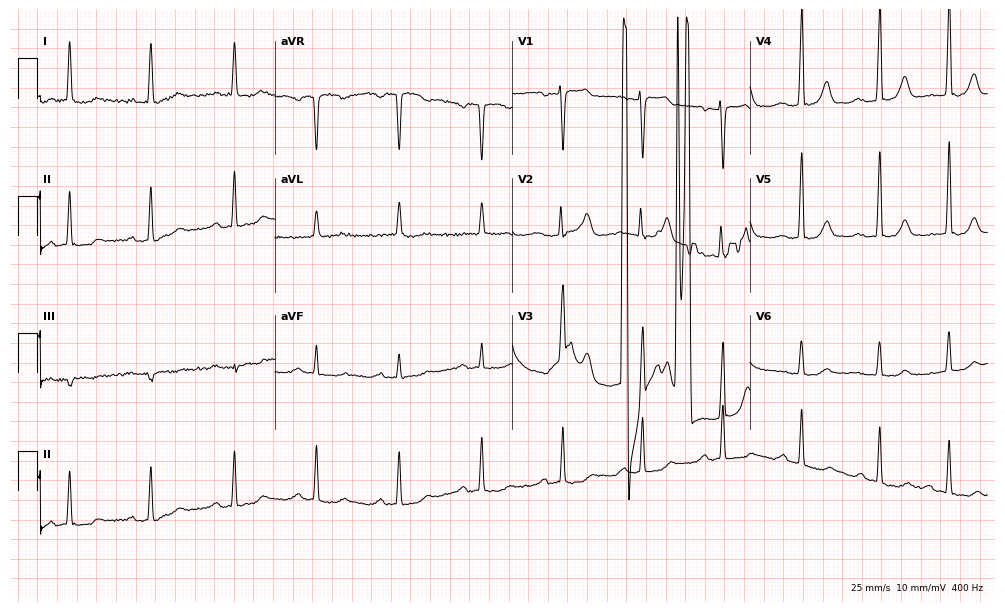
12-lead ECG (9.7-second recording at 400 Hz) from a female patient, 84 years old. Screened for six findings — first-degree AV block, right bundle branch block (RBBB), left bundle branch block (LBBB), sinus bradycardia, atrial fibrillation (AF), sinus tachycardia — none is recorded.